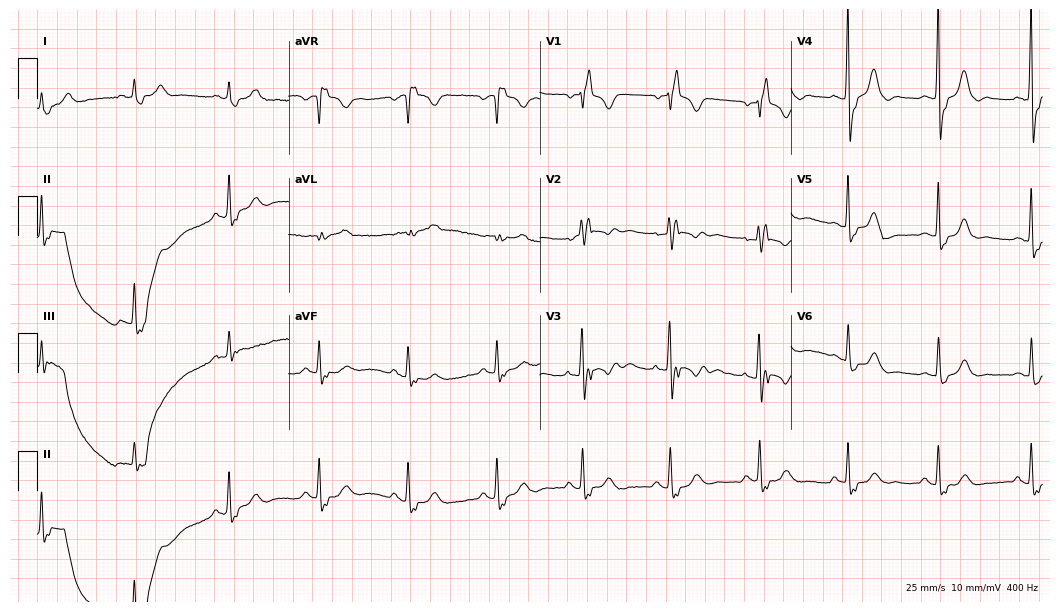
Standard 12-lead ECG recorded from a female patient, 81 years old (10.2-second recording at 400 Hz). None of these six findings is recorded: first-degree AV block, right bundle branch block, left bundle branch block, sinus bradycardia, atrial fibrillation, sinus tachycardia.